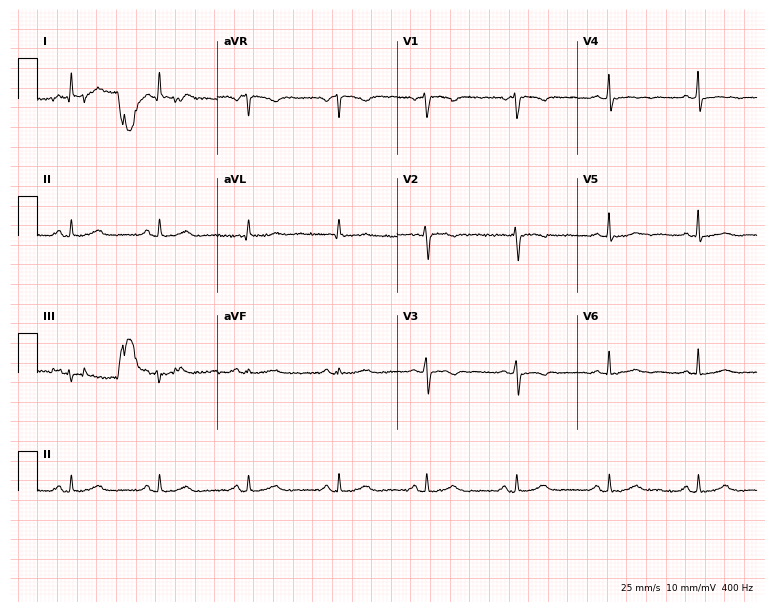
12-lead ECG from a 43-year-old female patient (7.3-second recording at 400 Hz). No first-degree AV block, right bundle branch block, left bundle branch block, sinus bradycardia, atrial fibrillation or sinus tachycardia recorded for this tracing.